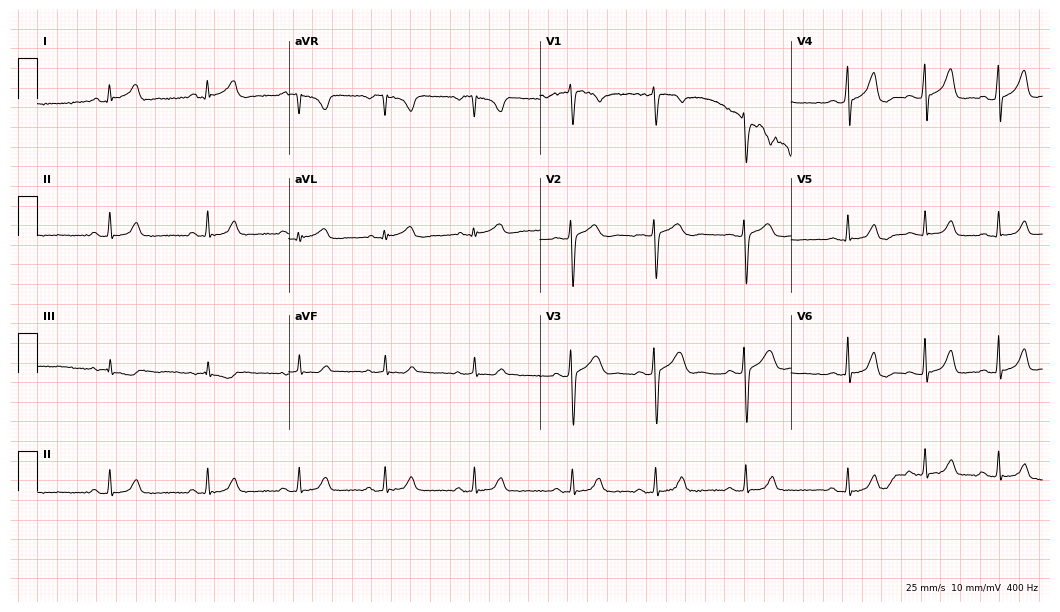
Standard 12-lead ECG recorded from a female, 26 years old (10.2-second recording at 400 Hz). Read as a normal ECG.